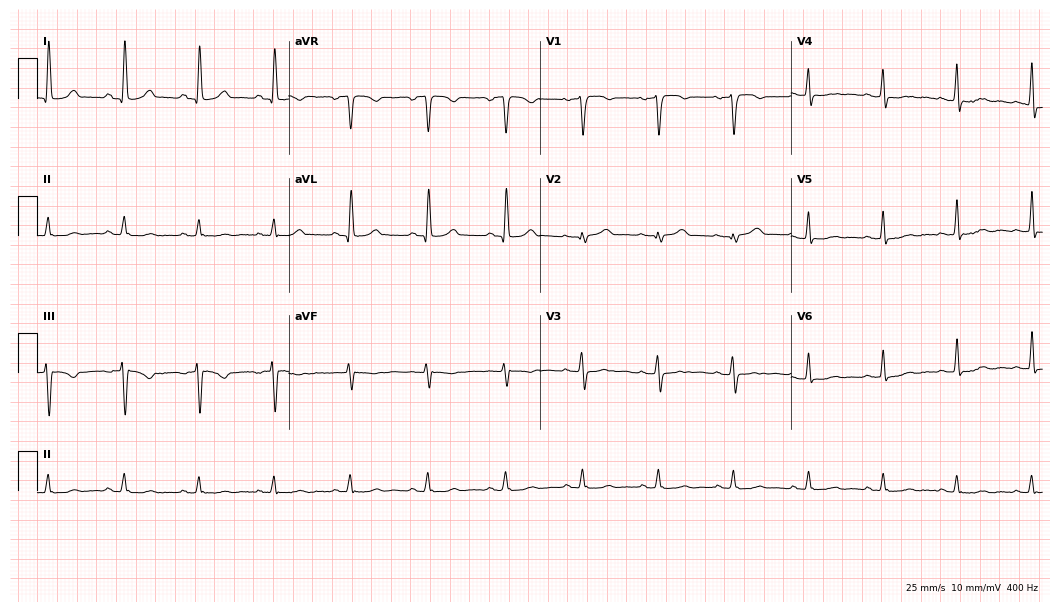
12-lead ECG (10.2-second recording at 400 Hz) from a woman, 52 years old. Screened for six findings — first-degree AV block, right bundle branch block, left bundle branch block, sinus bradycardia, atrial fibrillation, sinus tachycardia — none is recorded. Findings outside these six are not listed.